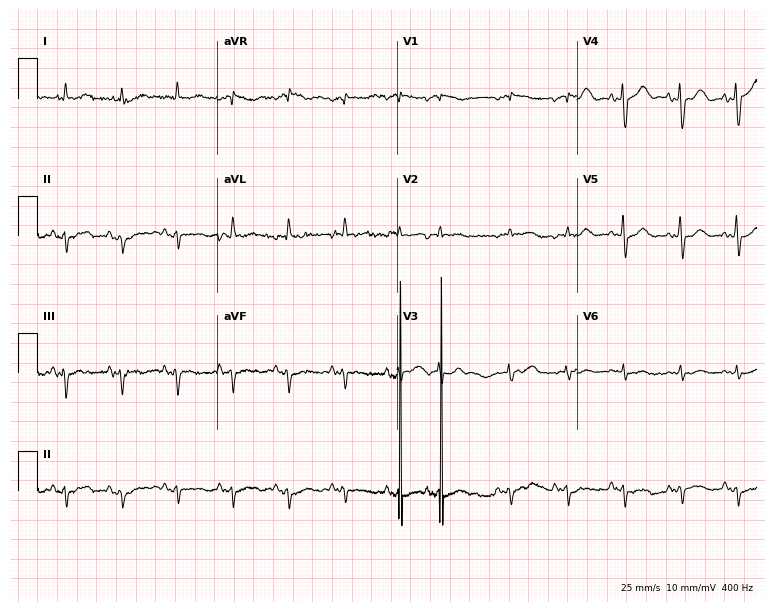
12-lead ECG (7.3-second recording at 400 Hz) from a female patient, 74 years old. Findings include sinus tachycardia (a sinus rate of 100 beats per minute or more).